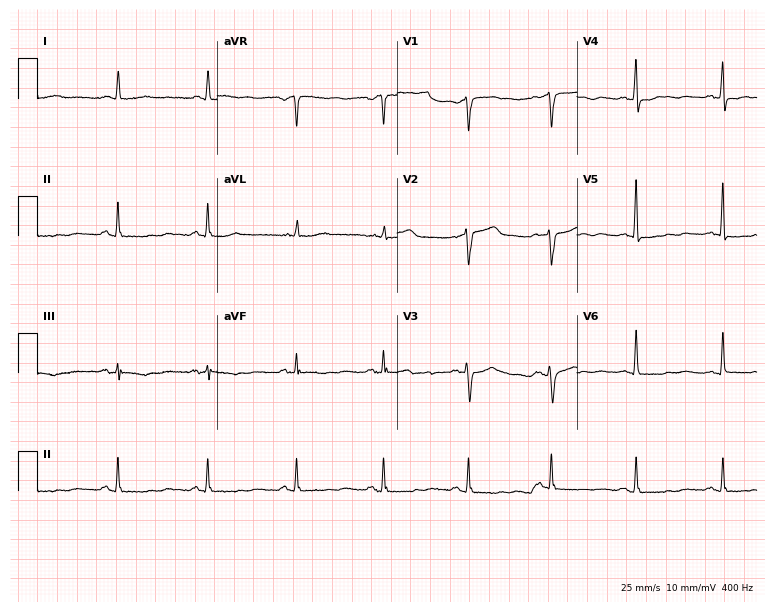
Electrocardiogram, a 57-year-old woman. Of the six screened findings (first-degree AV block, right bundle branch block (RBBB), left bundle branch block (LBBB), sinus bradycardia, atrial fibrillation (AF), sinus tachycardia), none is recorded. Other findings, if any, are not listed.